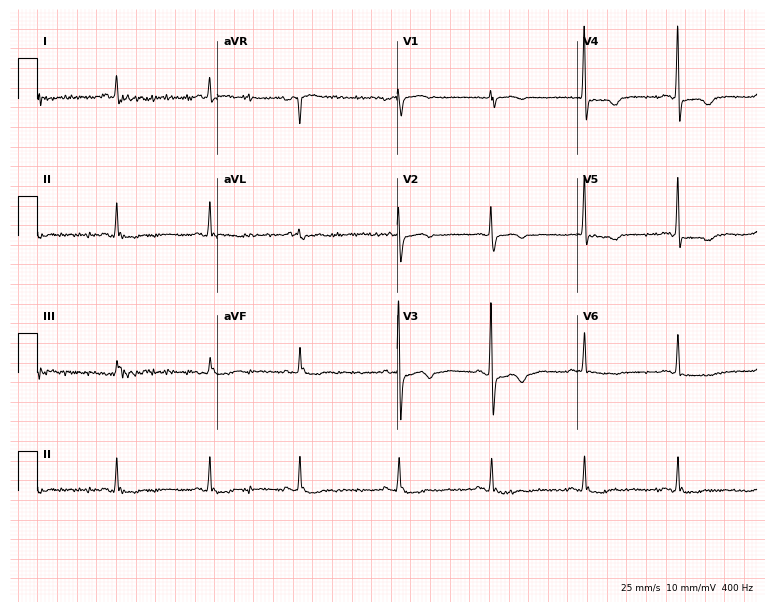
12-lead ECG (7.3-second recording at 400 Hz) from a woman, 72 years old. Screened for six findings — first-degree AV block, right bundle branch block, left bundle branch block, sinus bradycardia, atrial fibrillation, sinus tachycardia — none is recorded. Findings outside these six are not listed.